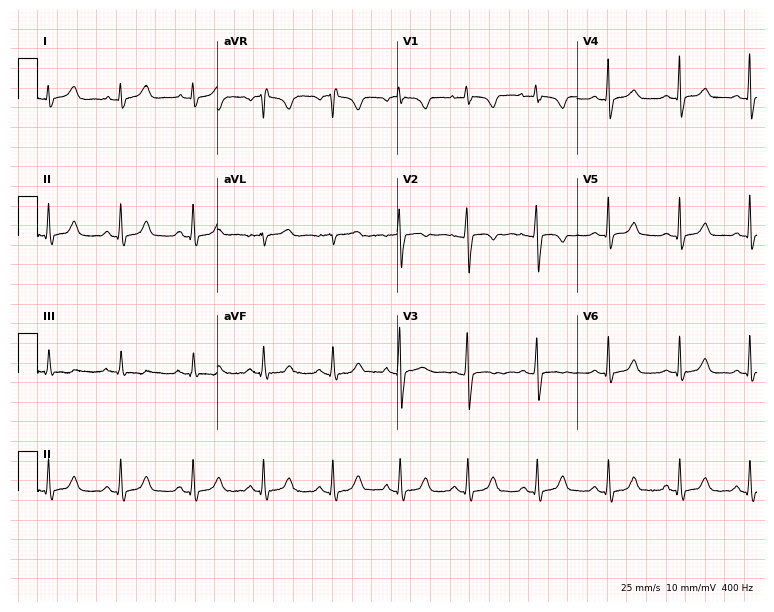
ECG (7.3-second recording at 400 Hz) — a 24-year-old woman. Screened for six findings — first-degree AV block, right bundle branch block, left bundle branch block, sinus bradycardia, atrial fibrillation, sinus tachycardia — none is recorded.